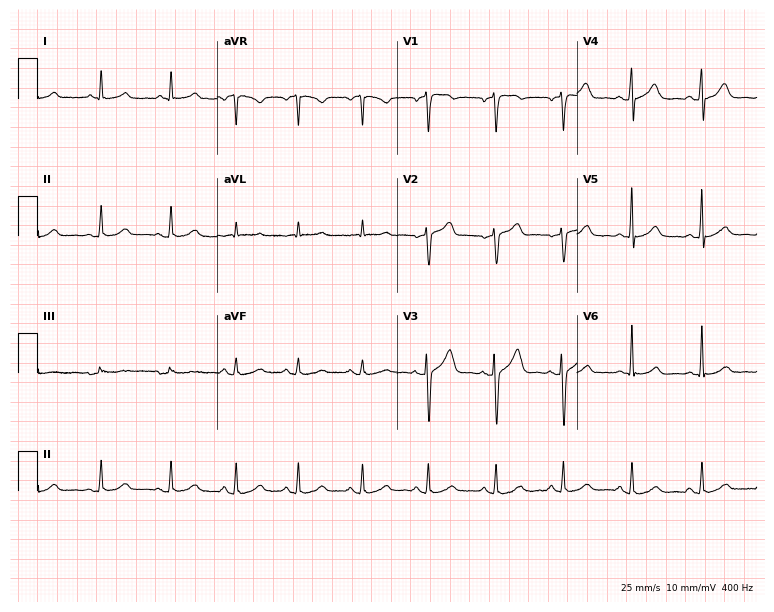
Resting 12-lead electrocardiogram (7.3-second recording at 400 Hz). Patient: a male, 66 years old. Read as a normal ECG.